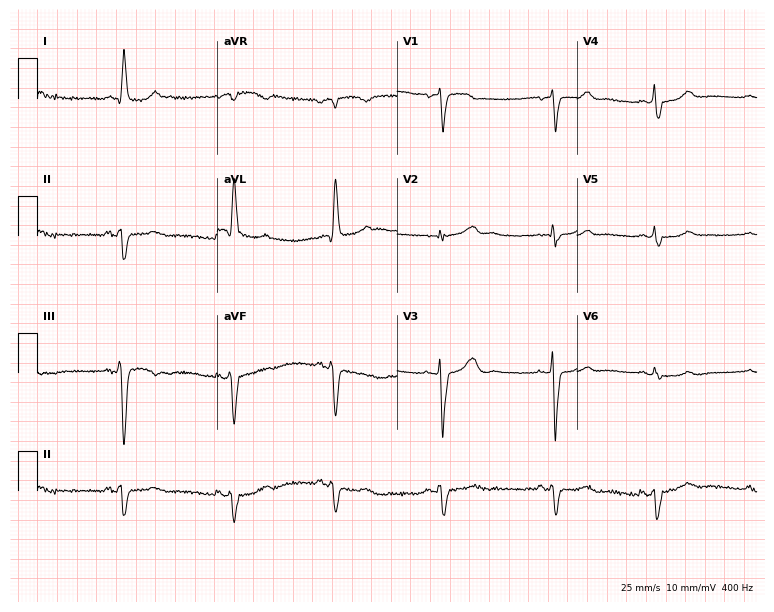
12-lead ECG (7.3-second recording at 400 Hz) from a female patient, 63 years old. Screened for six findings — first-degree AV block, right bundle branch block (RBBB), left bundle branch block (LBBB), sinus bradycardia, atrial fibrillation (AF), sinus tachycardia — none is recorded.